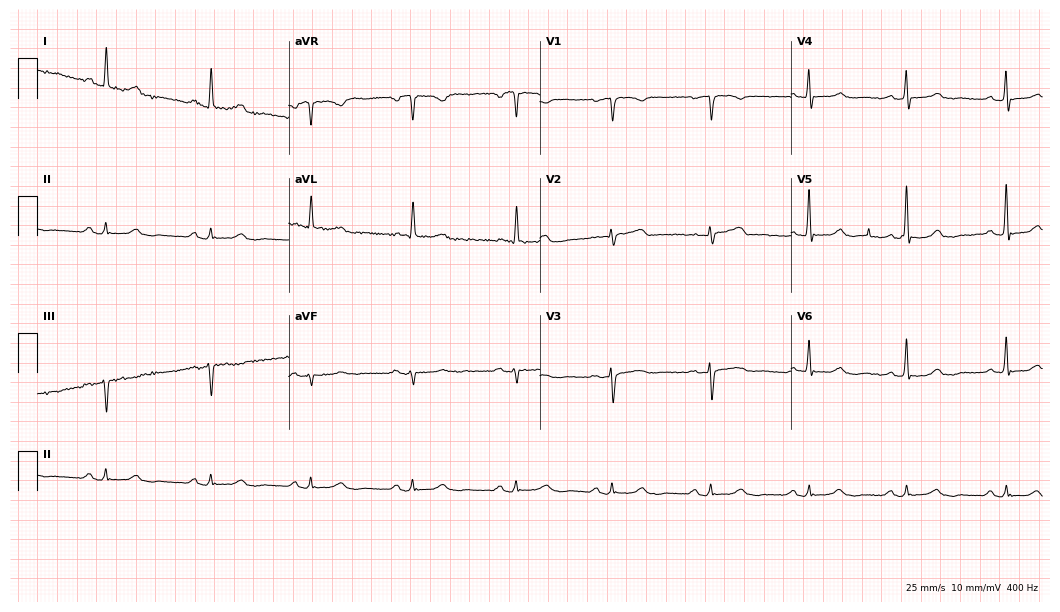
ECG (10.2-second recording at 400 Hz) — a 74-year-old female patient. Screened for six findings — first-degree AV block, right bundle branch block, left bundle branch block, sinus bradycardia, atrial fibrillation, sinus tachycardia — none is recorded. Only these six findings were labelled.